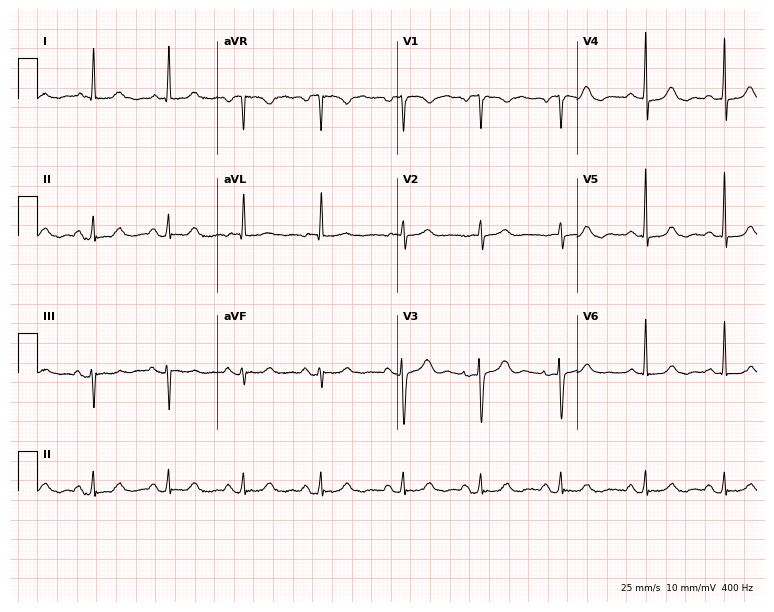
12-lead ECG from a female, 82 years old. Recorded interpretation: within normal limits.